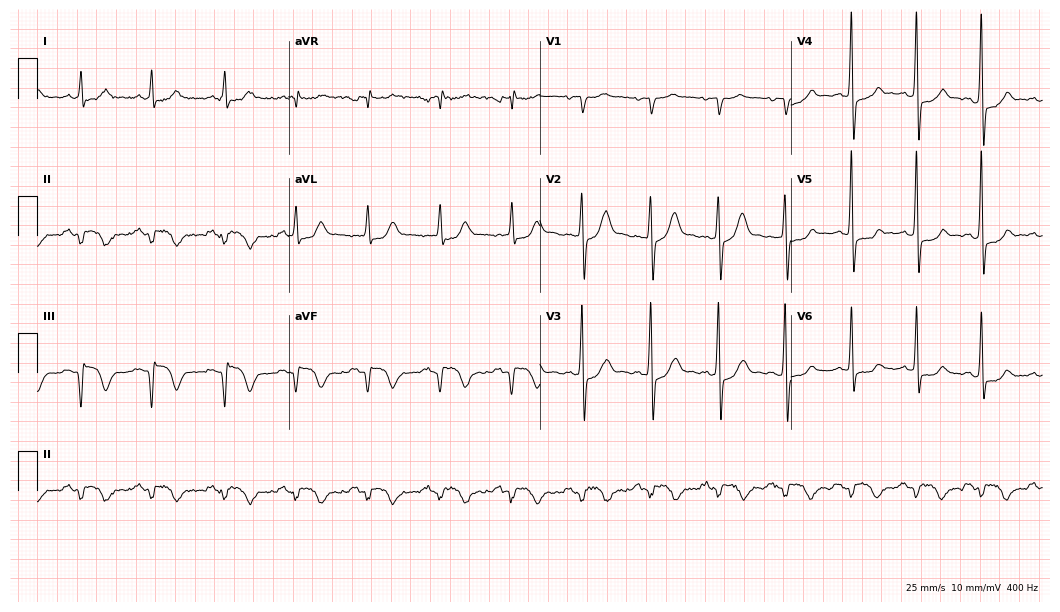
12-lead ECG (10.2-second recording at 400 Hz) from a 60-year-old male patient. Screened for six findings — first-degree AV block, right bundle branch block, left bundle branch block, sinus bradycardia, atrial fibrillation, sinus tachycardia — none is recorded. Findings outside these six are not listed.